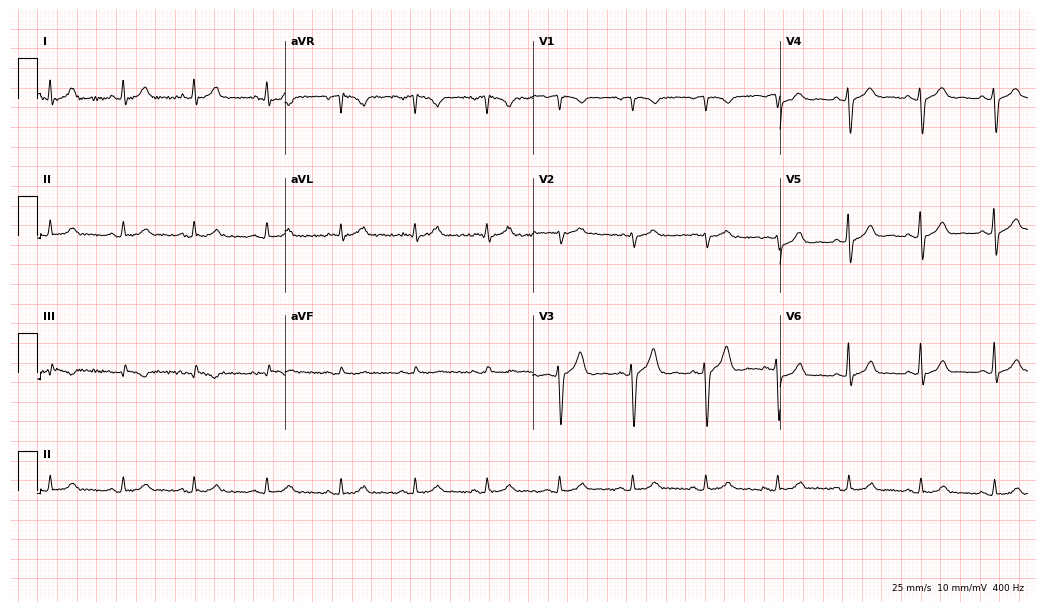
Electrocardiogram, a male, 49 years old. Overall reading on record: normal ECG.